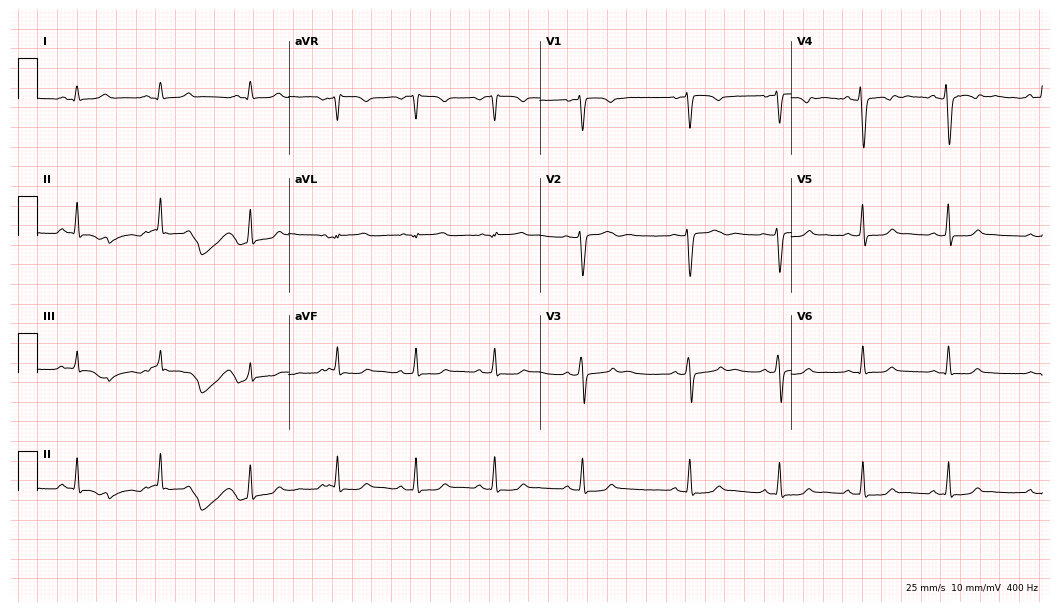
12-lead ECG from a 32-year-old woman. Recorded interpretation: within normal limits.